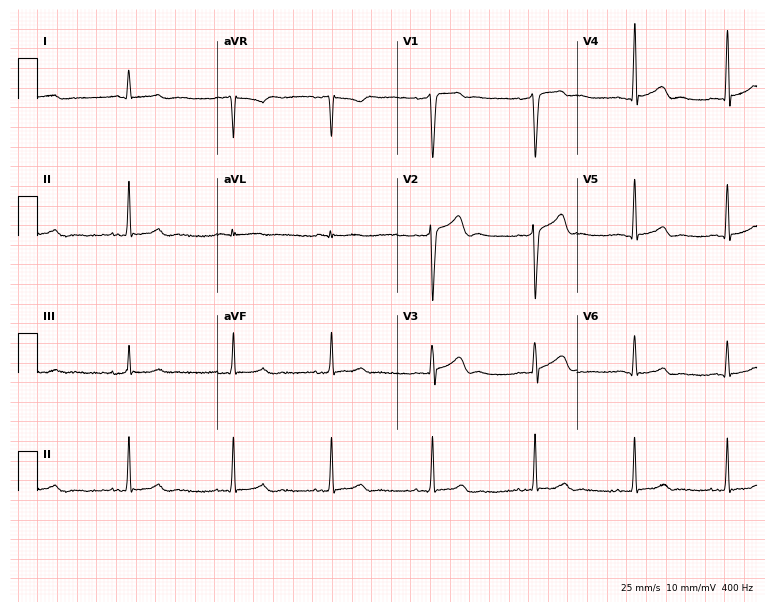
Electrocardiogram, a male patient, 34 years old. Of the six screened findings (first-degree AV block, right bundle branch block, left bundle branch block, sinus bradycardia, atrial fibrillation, sinus tachycardia), none is recorded. Only these six findings were labelled.